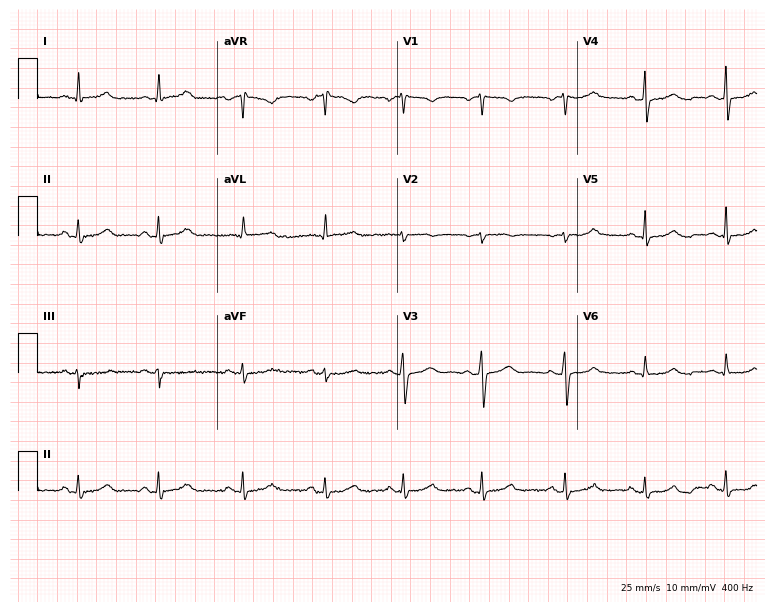
12-lead ECG (7.3-second recording at 400 Hz) from a 37-year-old female patient. Labelled as a normal ECG.